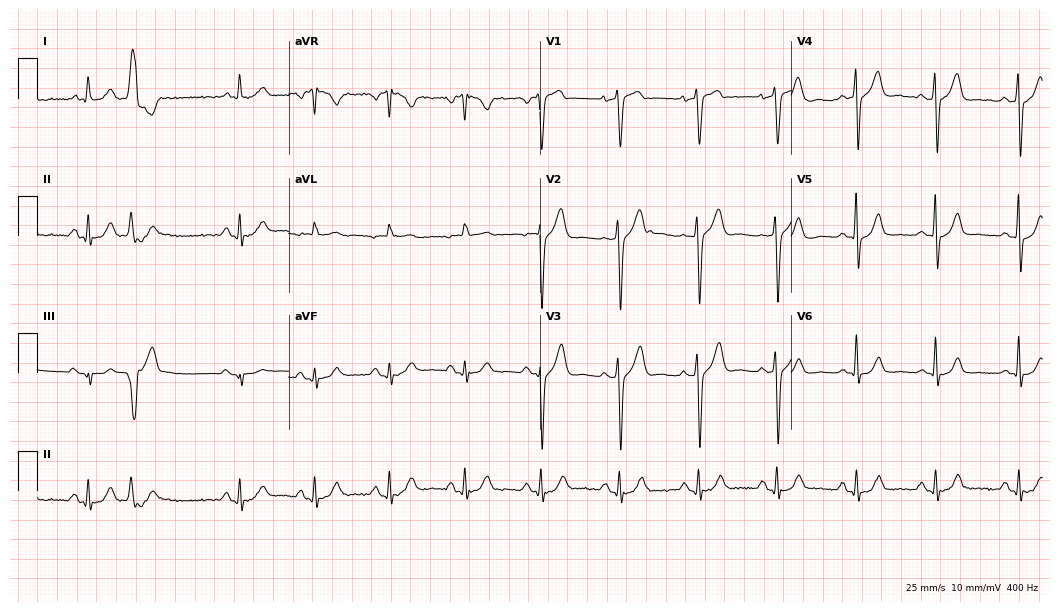
Electrocardiogram (10.2-second recording at 400 Hz), a male, 75 years old. Of the six screened findings (first-degree AV block, right bundle branch block (RBBB), left bundle branch block (LBBB), sinus bradycardia, atrial fibrillation (AF), sinus tachycardia), none is recorded. Other findings, if any, are not listed.